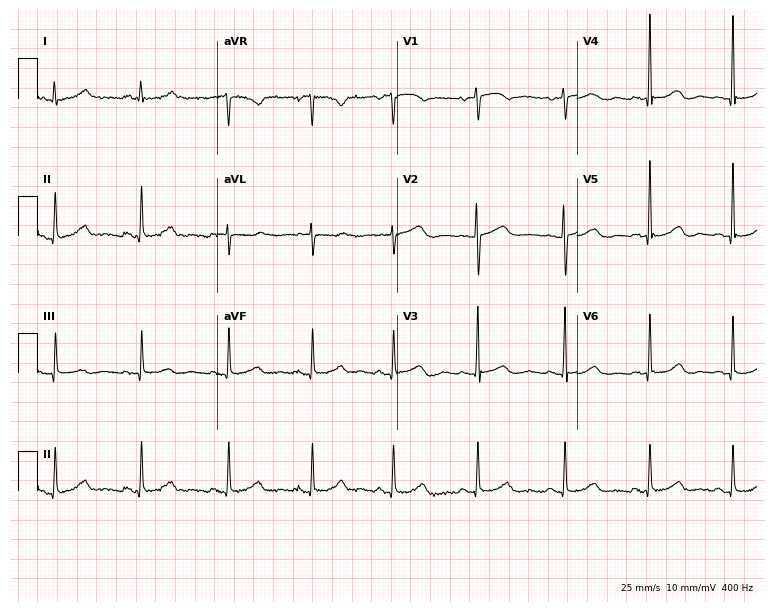
Electrocardiogram, an 82-year-old female. Overall reading on record: normal ECG.